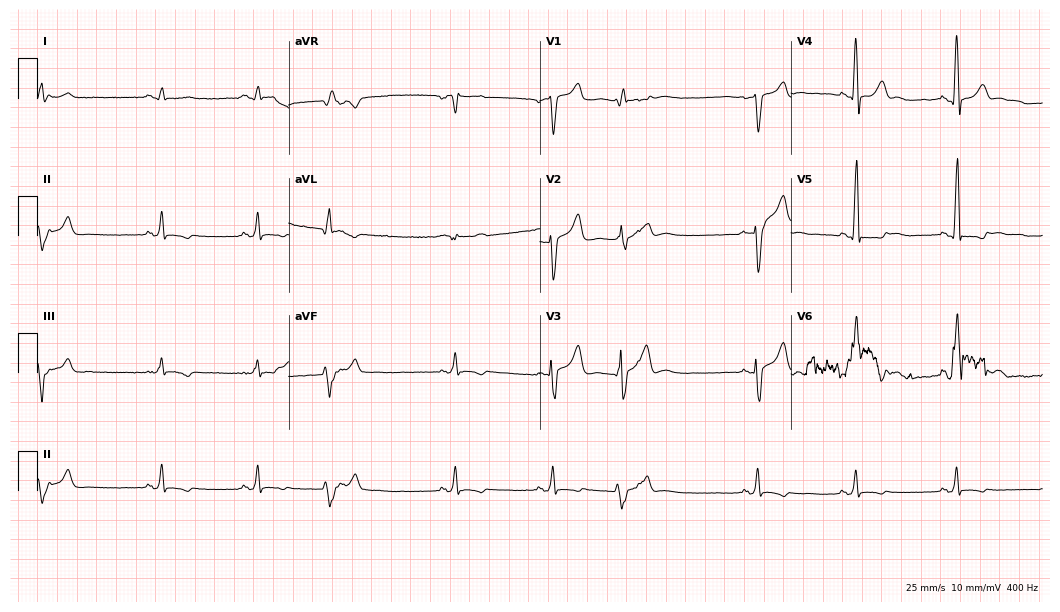
12-lead ECG from a man, 45 years old. No first-degree AV block, right bundle branch block (RBBB), left bundle branch block (LBBB), sinus bradycardia, atrial fibrillation (AF) or sinus tachycardia recorded for this tracing.